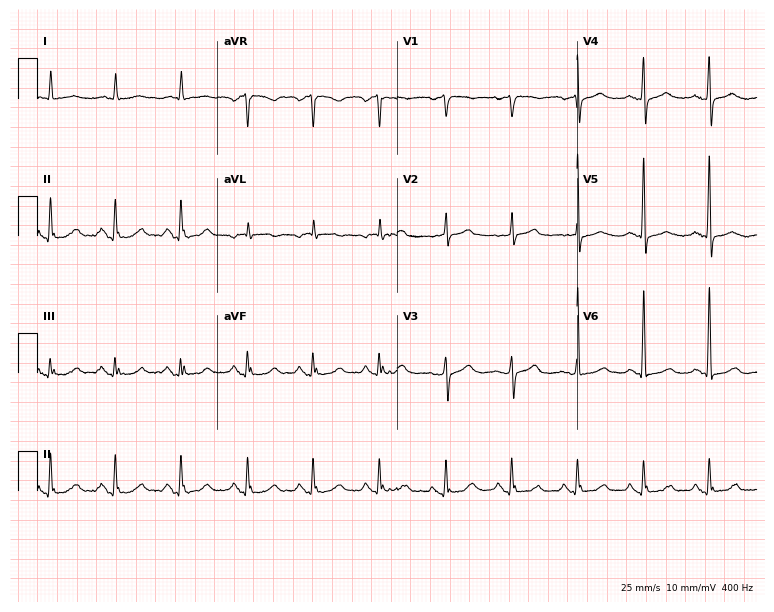
ECG — a woman, 80 years old. Screened for six findings — first-degree AV block, right bundle branch block, left bundle branch block, sinus bradycardia, atrial fibrillation, sinus tachycardia — none is recorded.